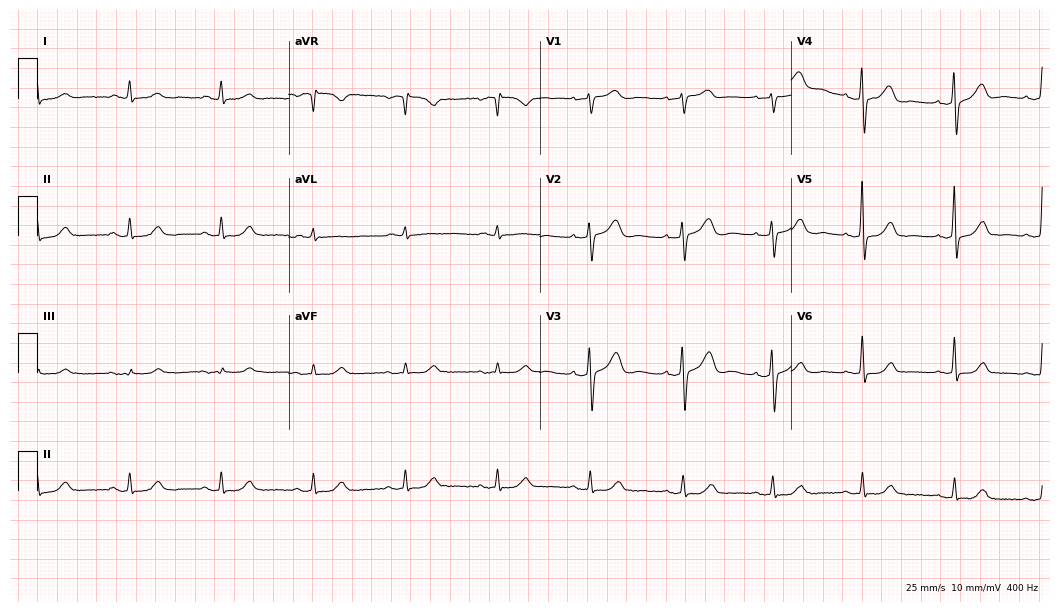
Electrocardiogram (10.2-second recording at 400 Hz), a 61-year-old female patient. Overall reading on record: normal ECG.